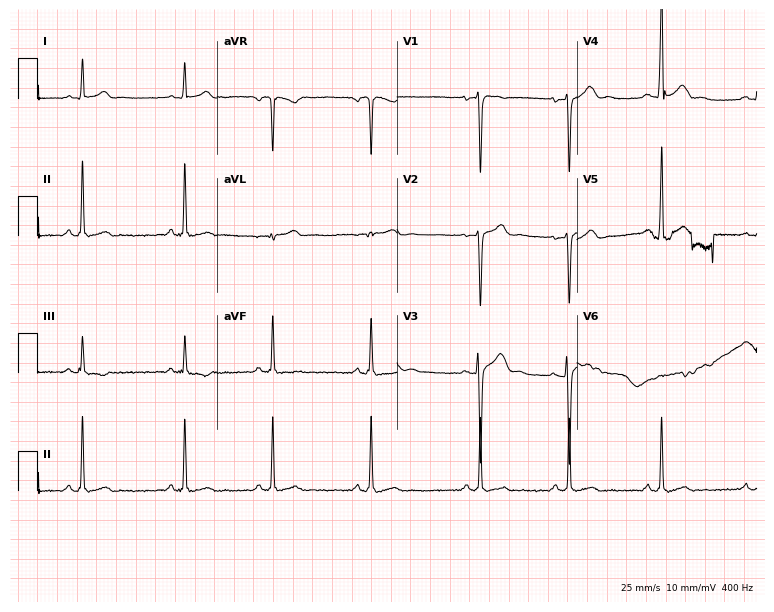
Resting 12-lead electrocardiogram (7.3-second recording at 400 Hz). Patient: a male, 19 years old. Read as a normal ECG.